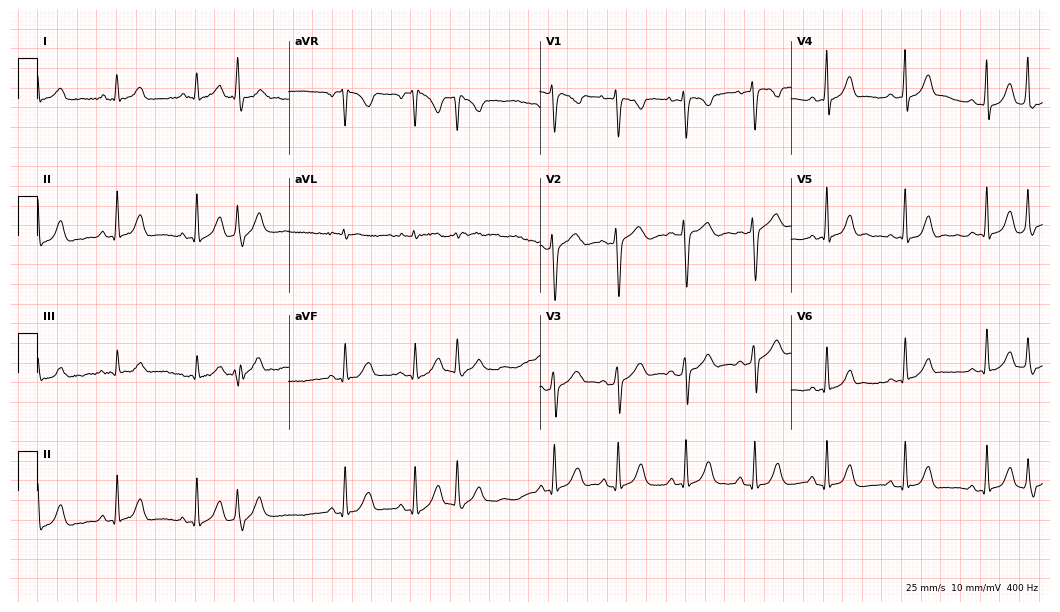
Standard 12-lead ECG recorded from a 19-year-old woman (10.2-second recording at 400 Hz). None of these six findings is recorded: first-degree AV block, right bundle branch block (RBBB), left bundle branch block (LBBB), sinus bradycardia, atrial fibrillation (AF), sinus tachycardia.